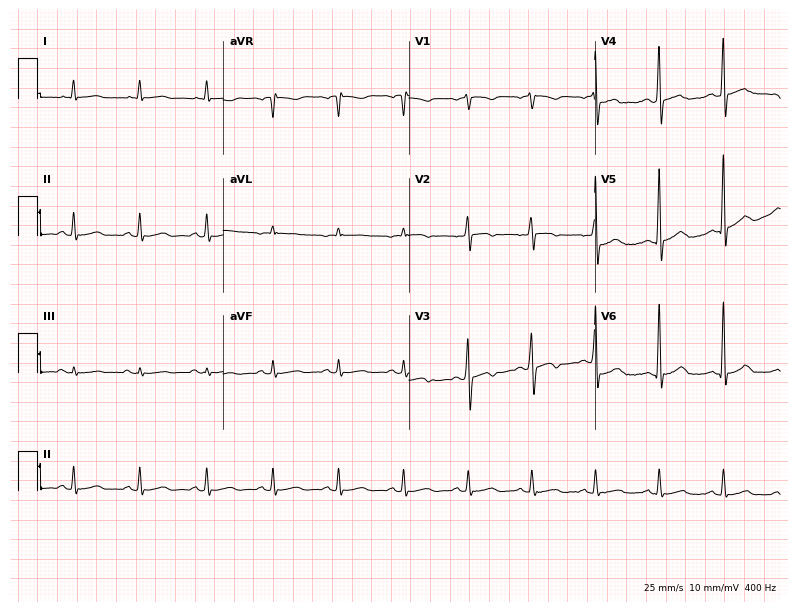
Electrocardiogram (7.6-second recording at 400 Hz), a woman, 60 years old. Overall reading on record: normal ECG.